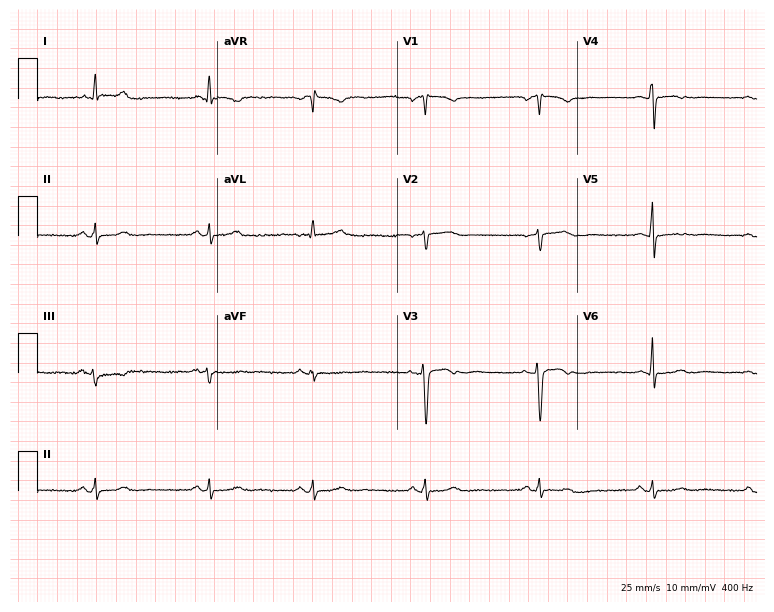
Resting 12-lead electrocardiogram (7.3-second recording at 400 Hz). Patient: a female, 41 years old. None of these six findings is recorded: first-degree AV block, right bundle branch block, left bundle branch block, sinus bradycardia, atrial fibrillation, sinus tachycardia. Only these six findings were labelled.